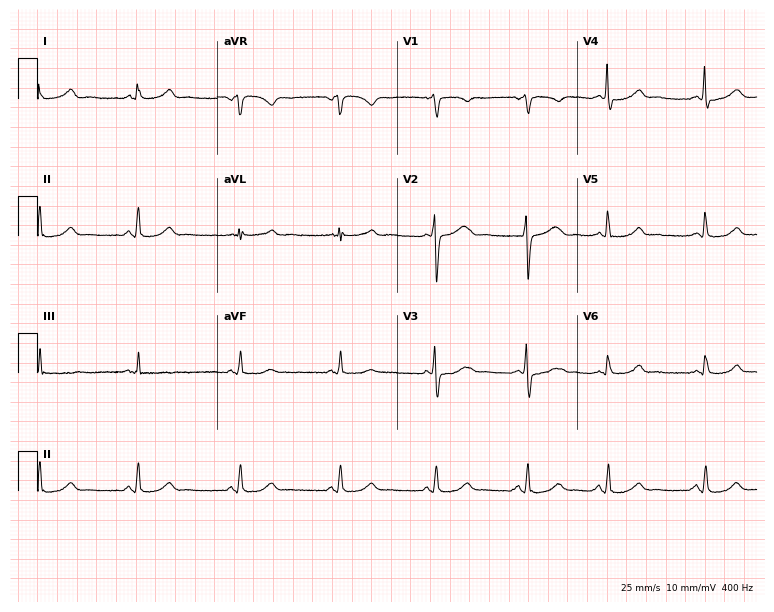
12-lead ECG from a 29-year-old female. Labelled as a normal ECG.